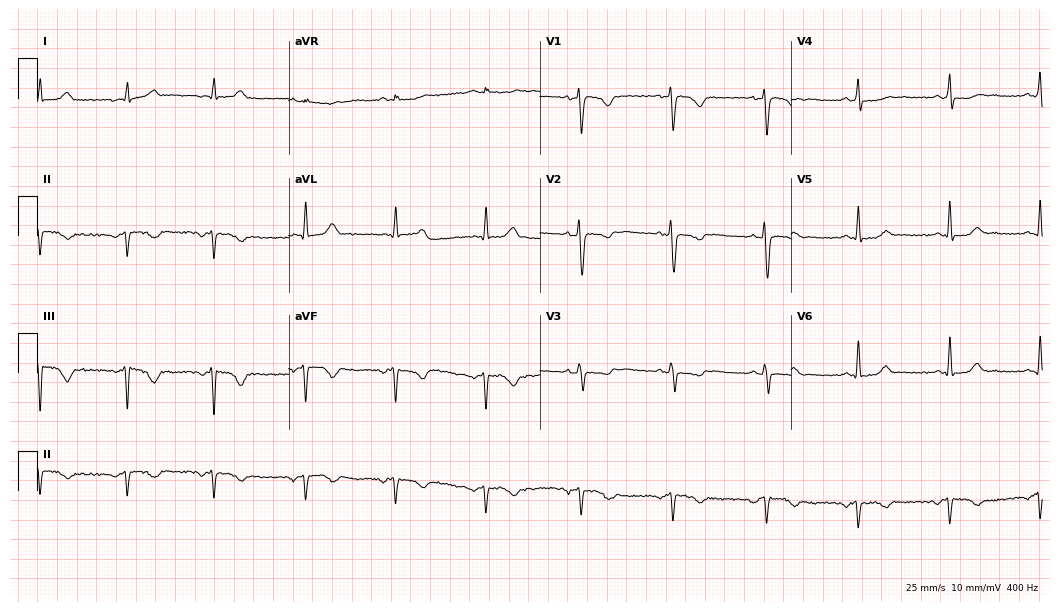
12-lead ECG from a 36-year-old woman. Screened for six findings — first-degree AV block, right bundle branch block, left bundle branch block, sinus bradycardia, atrial fibrillation, sinus tachycardia — none is recorded. Findings outside these six are not listed.